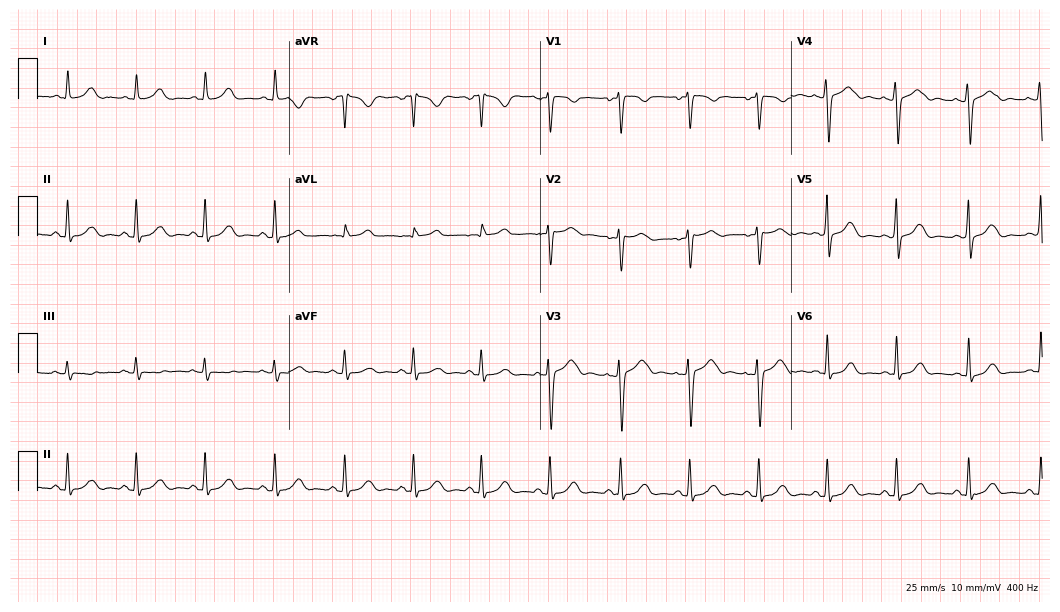
Resting 12-lead electrocardiogram. Patient: a woman, 50 years old. None of these six findings is recorded: first-degree AV block, right bundle branch block, left bundle branch block, sinus bradycardia, atrial fibrillation, sinus tachycardia.